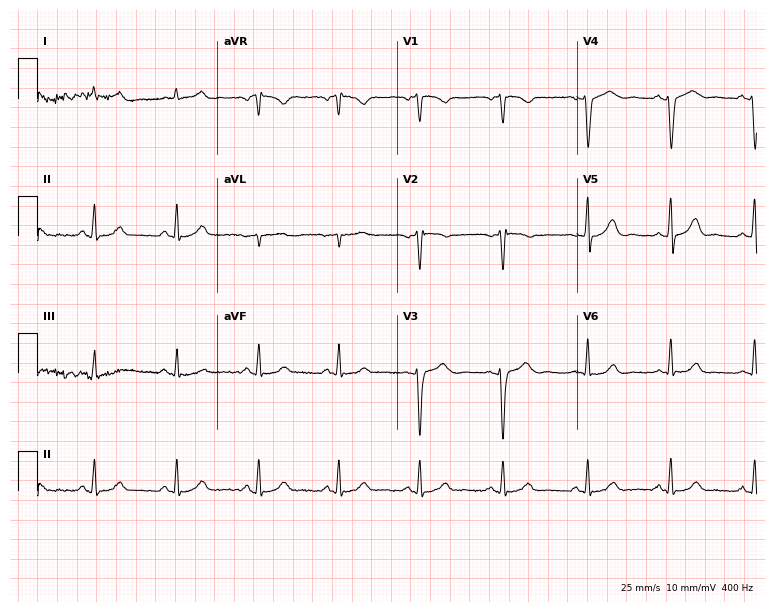
ECG (7.3-second recording at 400 Hz) — a 32-year-old female patient. Screened for six findings — first-degree AV block, right bundle branch block, left bundle branch block, sinus bradycardia, atrial fibrillation, sinus tachycardia — none is recorded. Only these six findings were labelled.